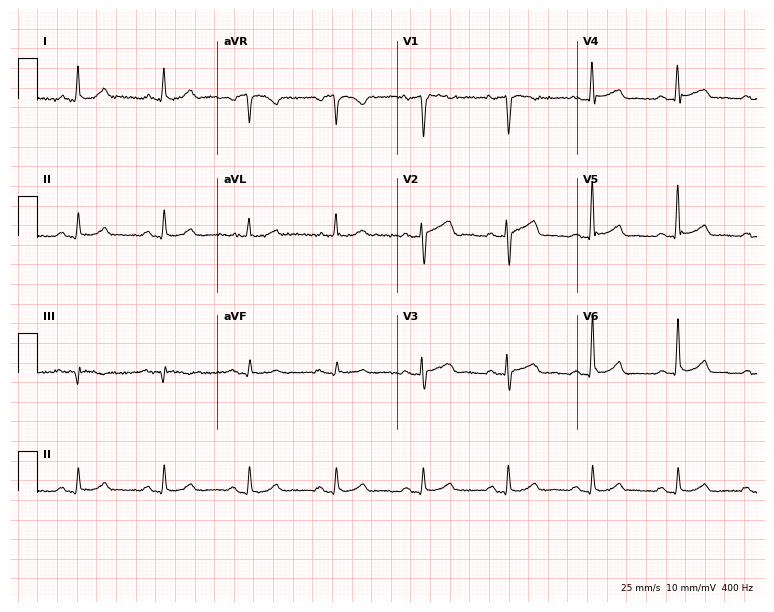
12-lead ECG from a man, 55 years old (7.3-second recording at 400 Hz). Recorded interpretation: within normal limits.